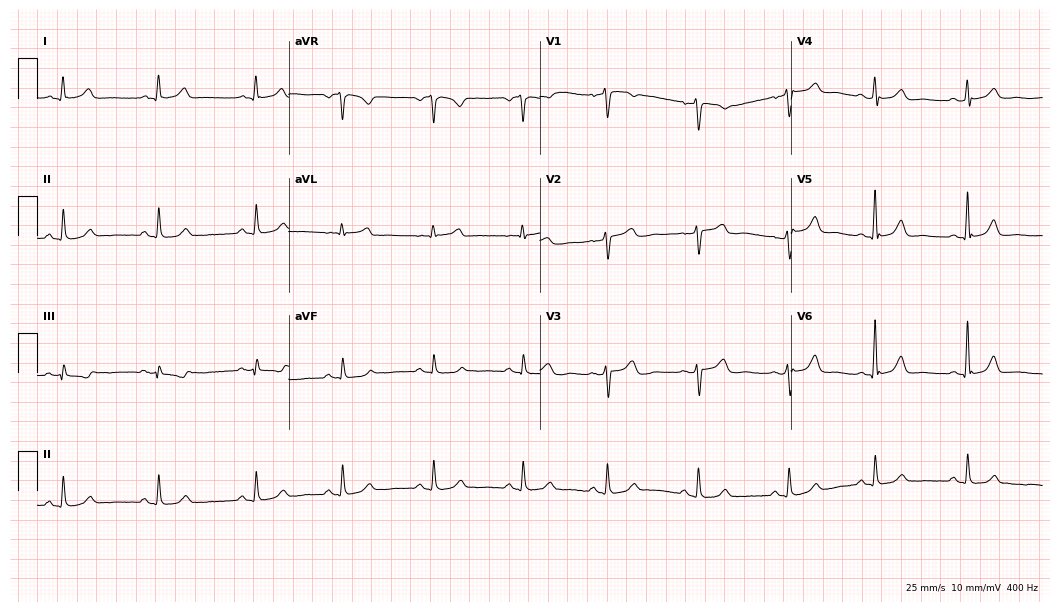
ECG (10.2-second recording at 400 Hz) — a 52-year-old female patient. Labelled as a normal ECG.